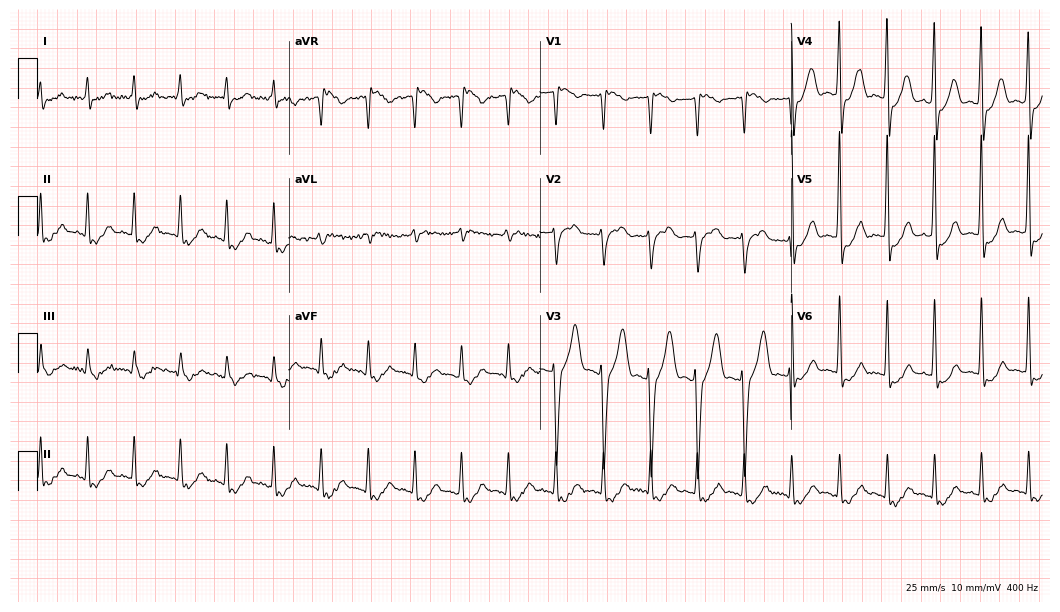
Electrocardiogram (10.2-second recording at 400 Hz), a male, 84 years old. Interpretation includes sinus tachycardia (a sinus rate of 100 beats per minute or more).